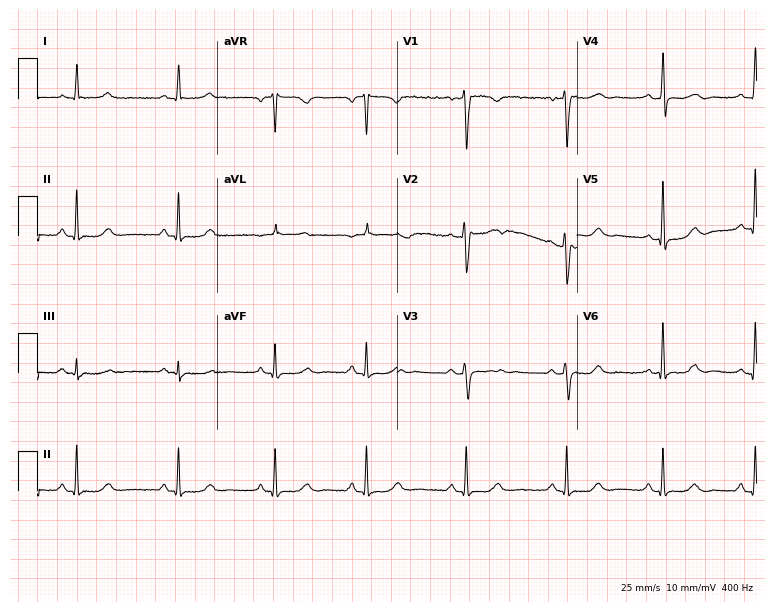
12-lead ECG from a 49-year-old female patient (7.3-second recording at 400 Hz). No first-degree AV block, right bundle branch block (RBBB), left bundle branch block (LBBB), sinus bradycardia, atrial fibrillation (AF) or sinus tachycardia recorded for this tracing. Findings outside these six are not listed.